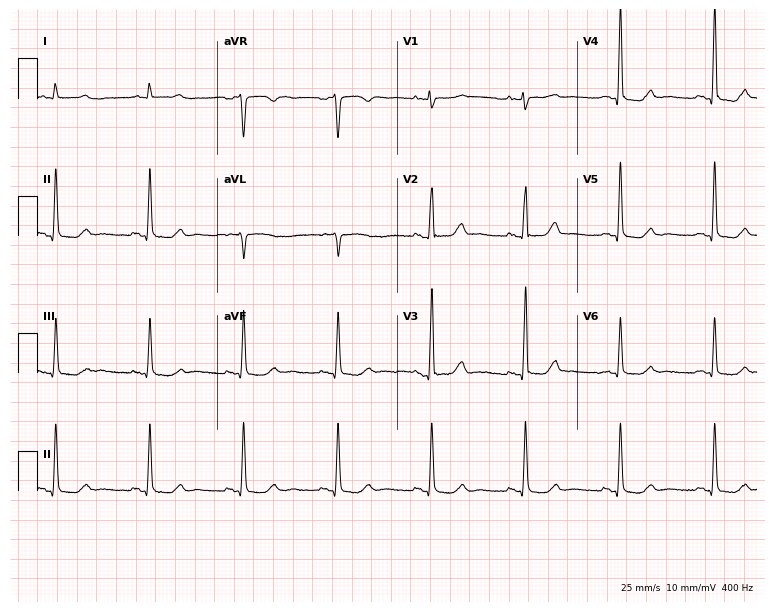
Standard 12-lead ECG recorded from an 85-year-old female patient. None of these six findings is recorded: first-degree AV block, right bundle branch block, left bundle branch block, sinus bradycardia, atrial fibrillation, sinus tachycardia. Only these six findings were labelled.